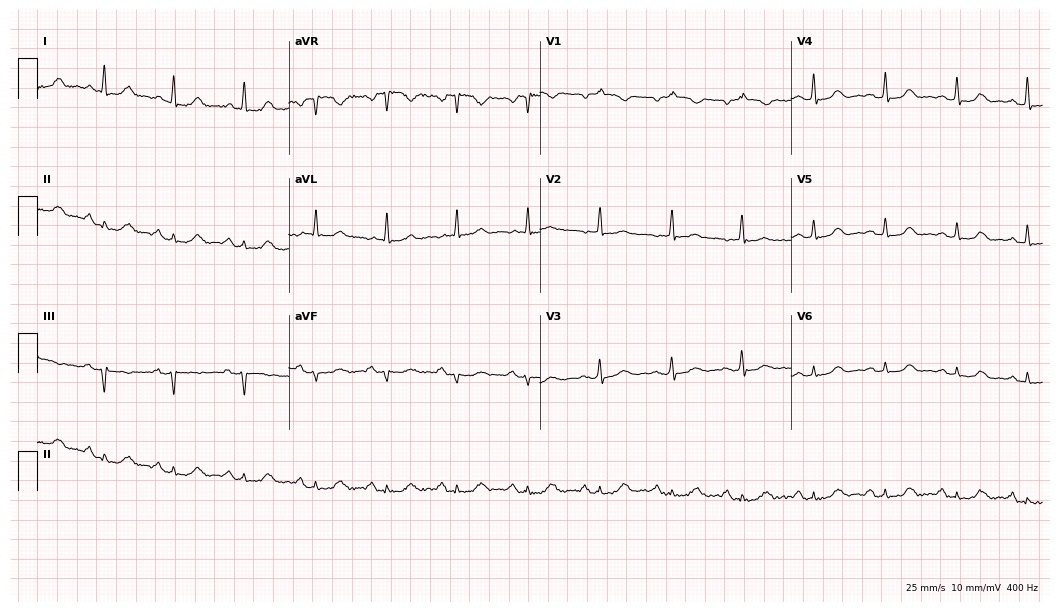
Electrocardiogram, a 71-year-old female. Of the six screened findings (first-degree AV block, right bundle branch block, left bundle branch block, sinus bradycardia, atrial fibrillation, sinus tachycardia), none is recorded. Findings outside these six are not listed.